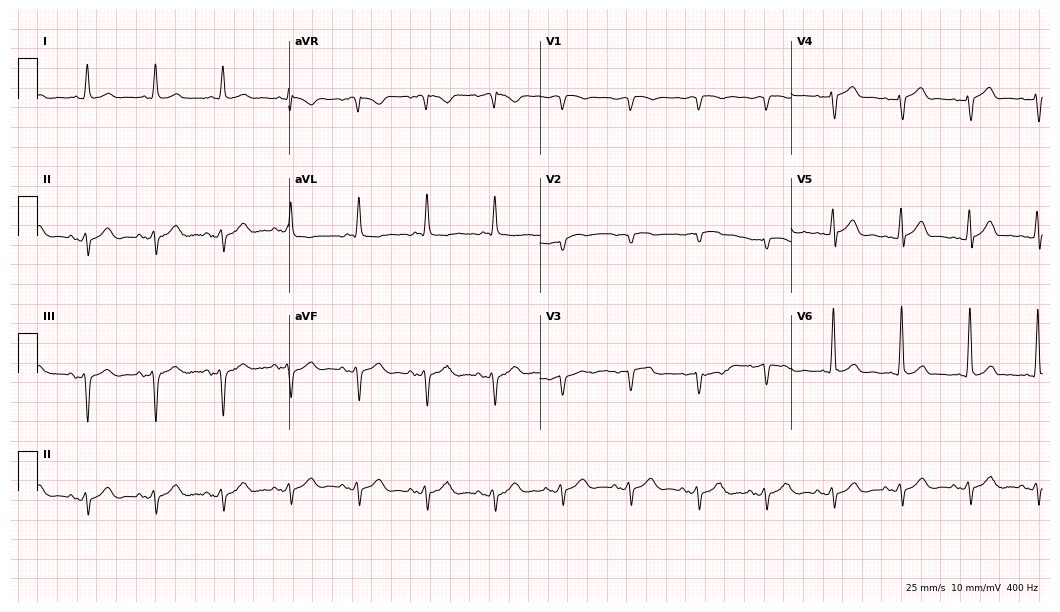
12-lead ECG from a male, 81 years old. No first-degree AV block, right bundle branch block (RBBB), left bundle branch block (LBBB), sinus bradycardia, atrial fibrillation (AF) or sinus tachycardia recorded for this tracing.